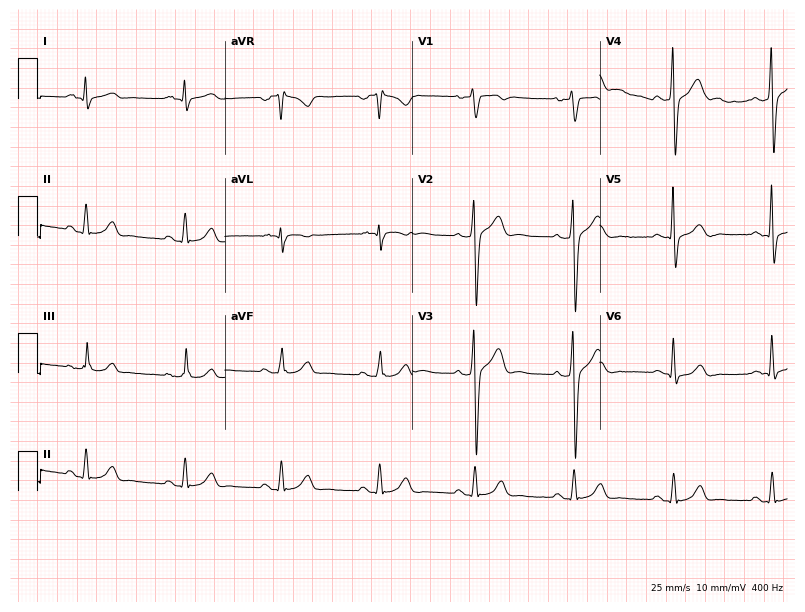
12-lead ECG from a man, 45 years old. Screened for six findings — first-degree AV block, right bundle branch block, left bundle branch block, sinus bradycardia, atrial fibrillation, sinus tachycardia — none is recorded.